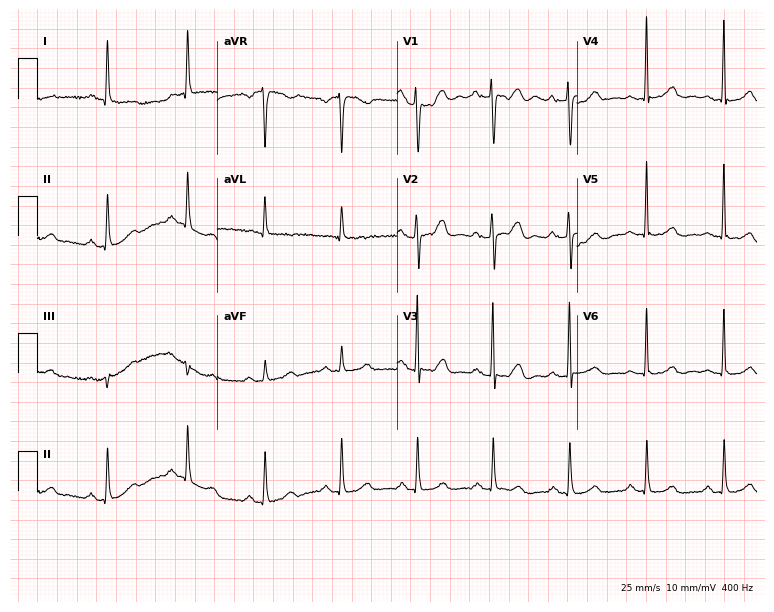
12-lead ECG from a 60-year-old woman. Recorded interpretation: within normal limits.